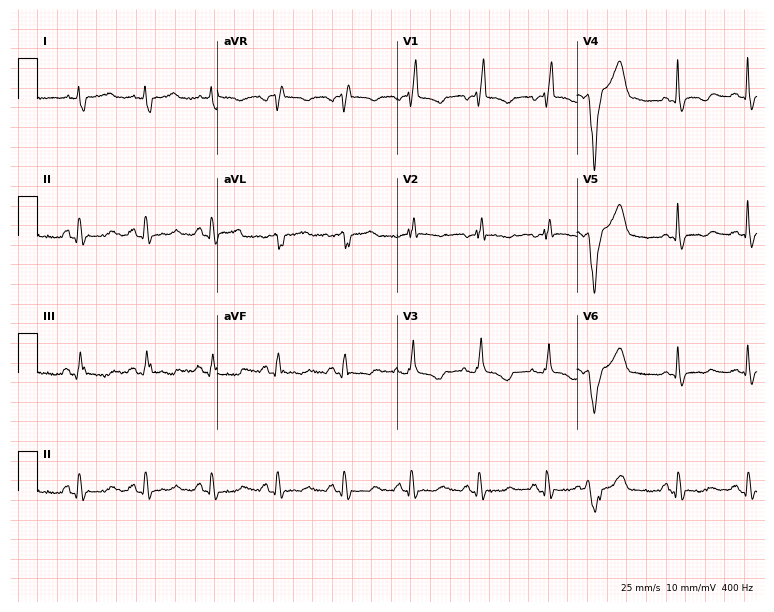
12-lead ECG from a female, 67 years old. Findings include right bundle branch block.